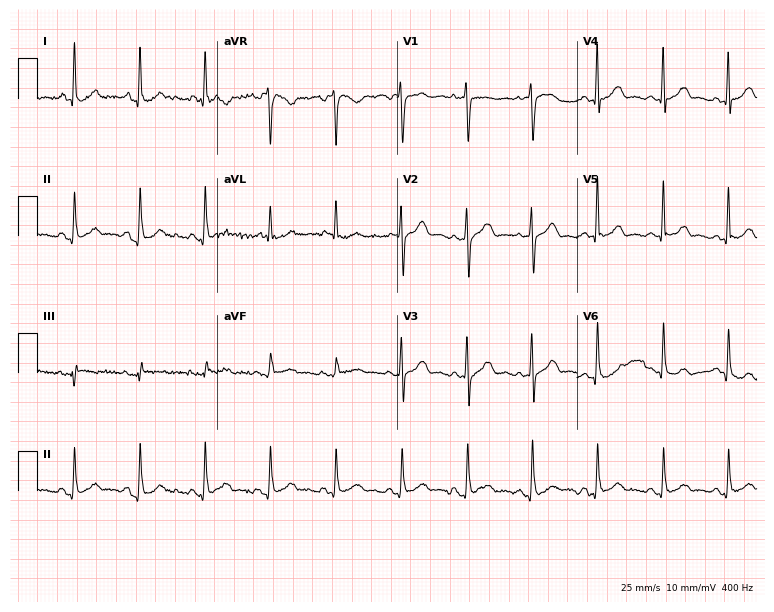
12-lead ECG from a male patient, 56 years old (7.3-second recording at 400 Hz). Recorded interpretation: within normal limits.